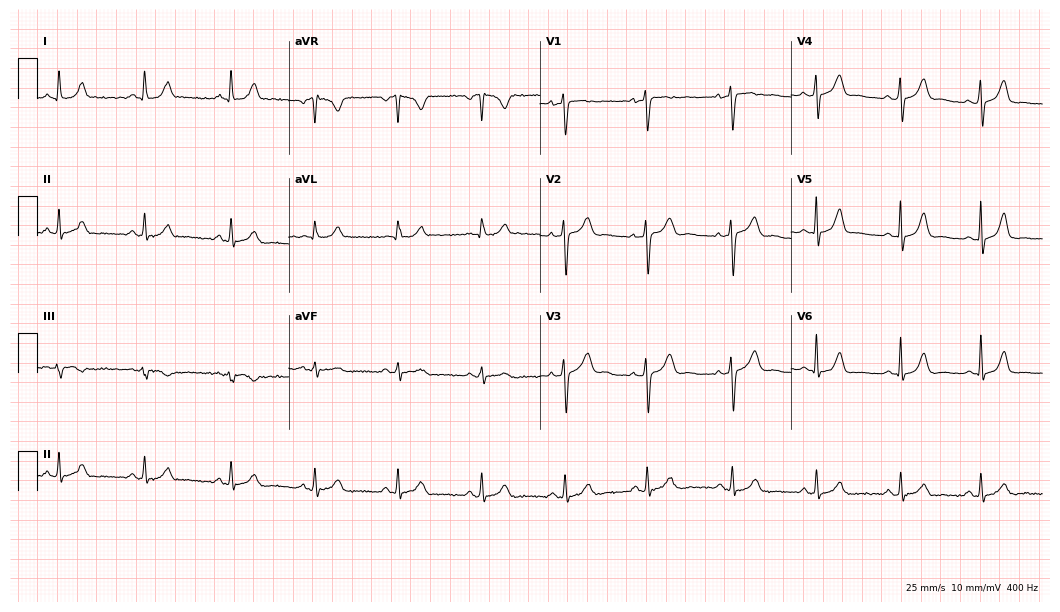
12-lead ECG (10.2-second recording at 400 Hz) from a 39-year-old female patient. Labelled as a normal ECG.